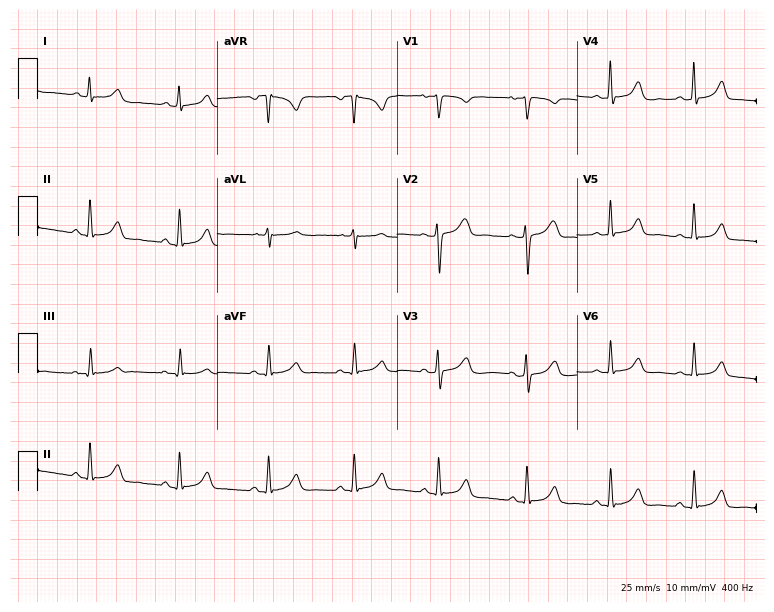
Electrocardiogram, a 51-year-old woman. Of the six screened findings (first-degree AV block, right bundle branch block (RBBB), left bundle branch block (LBBB), sinus bradycardia, atrial fibrillation (AF), sinus tachycardia), none is recorded.